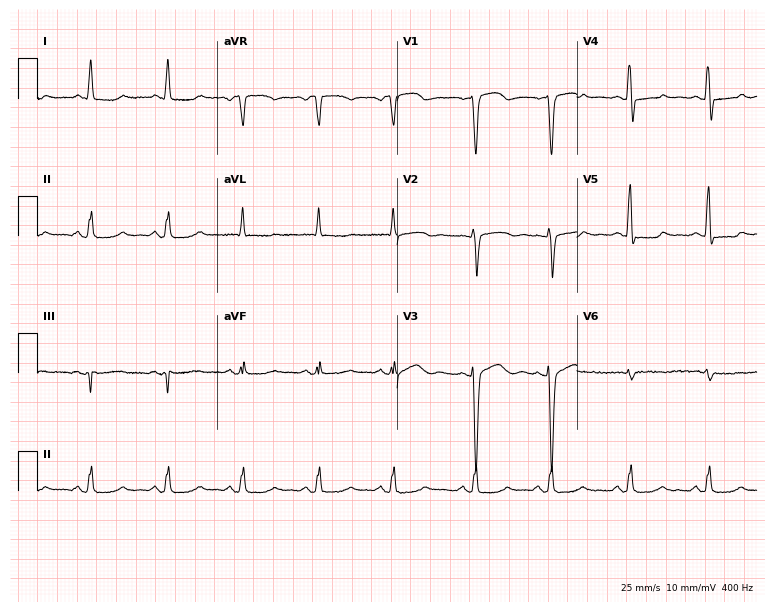
Electrocardiogram, a 52-year-old woman. Of the six screened findings (first-degree AV block, right bundle branch block (RBBB), left bundle branch block (LBBB), sinus bradycardia, atrial fibrillation (AF), sinus tachycardia), none is recorded.